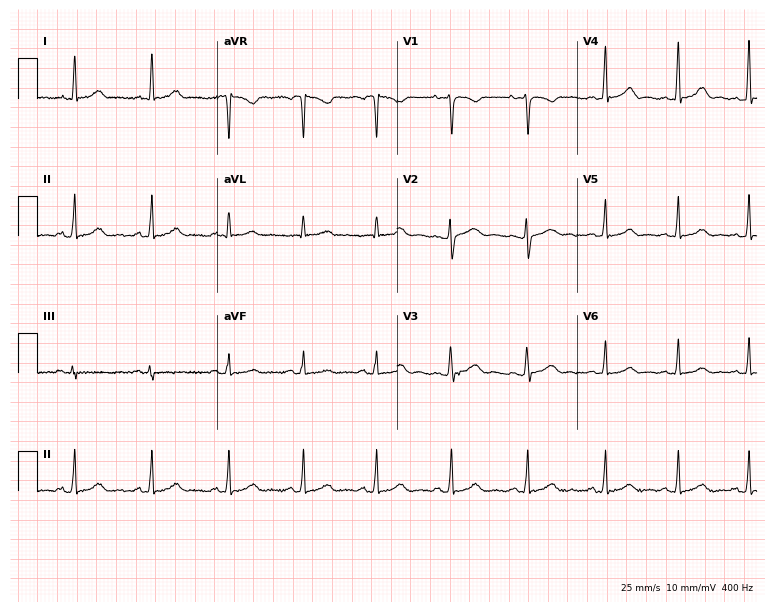
12-lead ECG from a female, 41 years old. Labelled as a normal ECG.